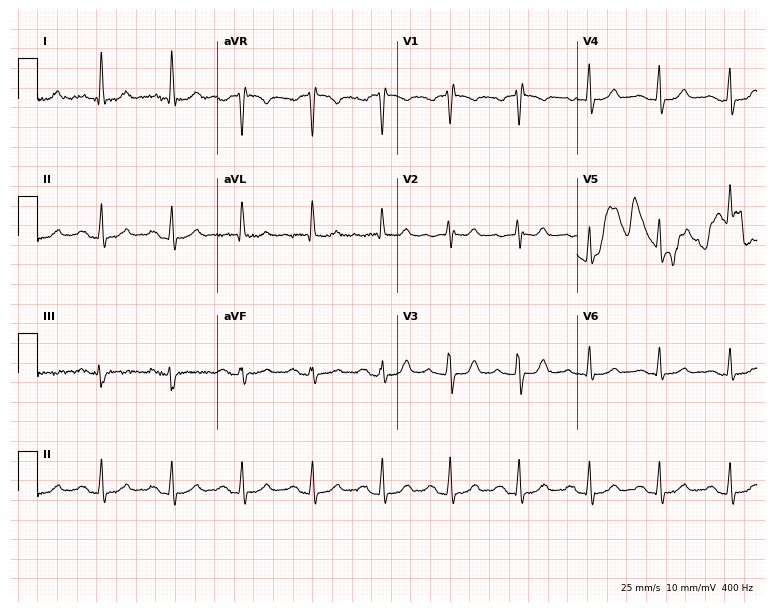
ECG (7.3-second recording at 400 Hz) — a 65-year-old female patient. Screened for six findings — first-degree AV block, right bundle branch block, left bundle branch block, sinus bradycardia, atrial fibrillation, sinus tachycardia — none is recorded. Only these six findings were labelled.